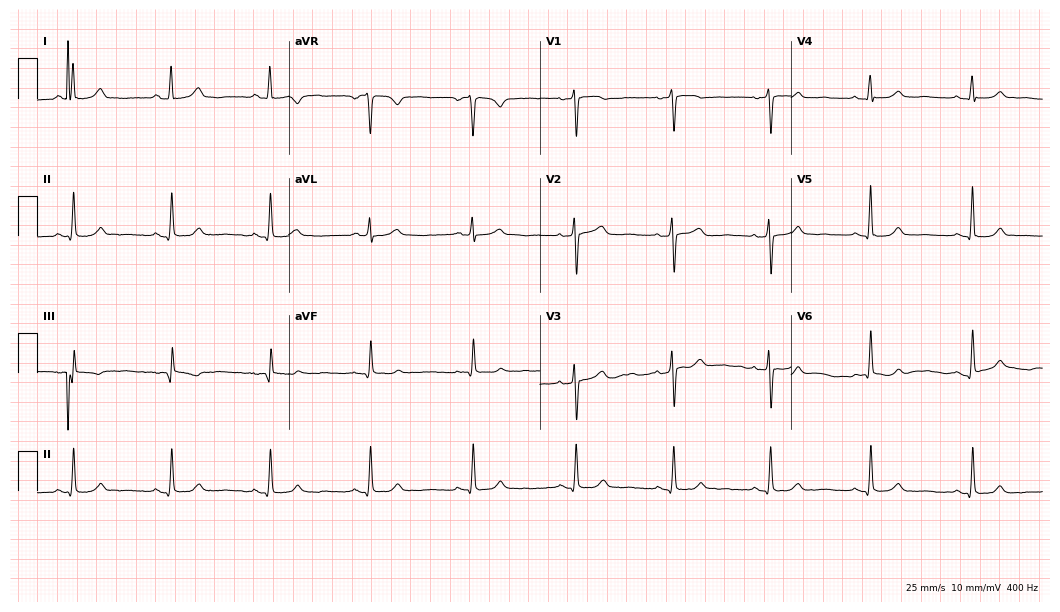
Resting 12-lead electrocardiogram. Patient: a 73-year-old female. None of these six findings is recorded: first-degree AV block, right bundle branch block, left bundle branch block, sinus bradycardia, atrial fibrillation, sinus tachycardia. Only these six findings were labelled.